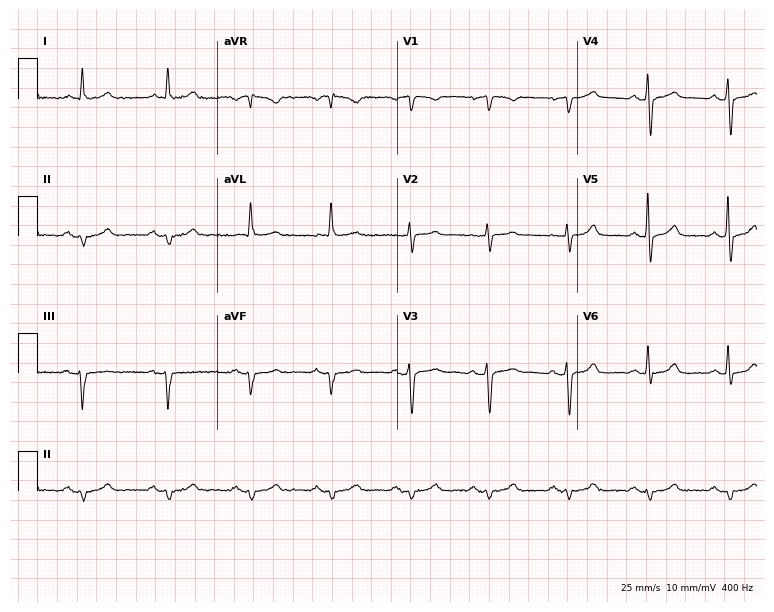
12-lead ECG from a male, 75 years old. Screened for six findings — first-degree AV block, right bundle branch block, left bundle branch block, sinus bradycardia, atrial fibrillation, sinus tachycardia — none is recorded. Only these six findings were labelled.